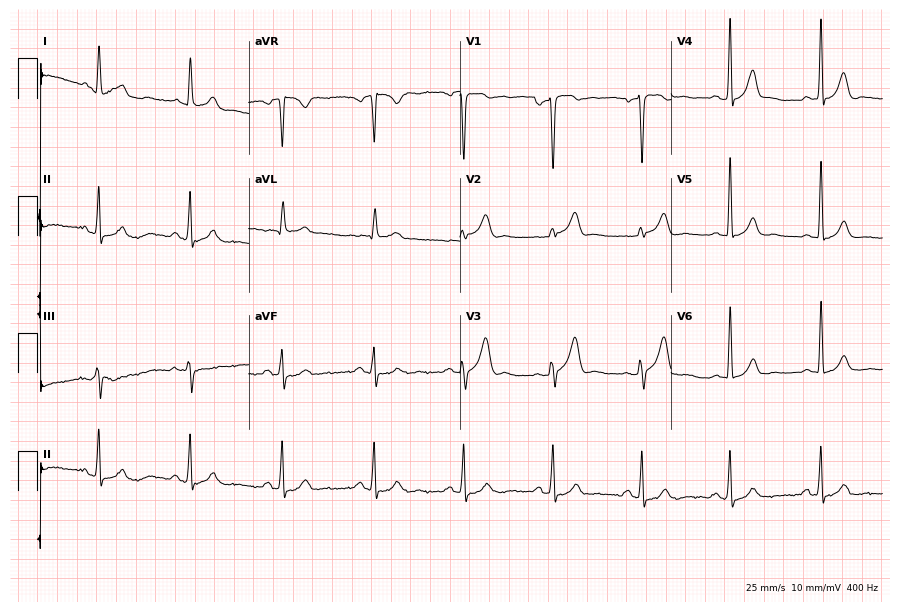
Standard 12-lead ECG recorded from a 52-year-old man (8.6-second recording at 400 Hz). Read as a normal ECG.